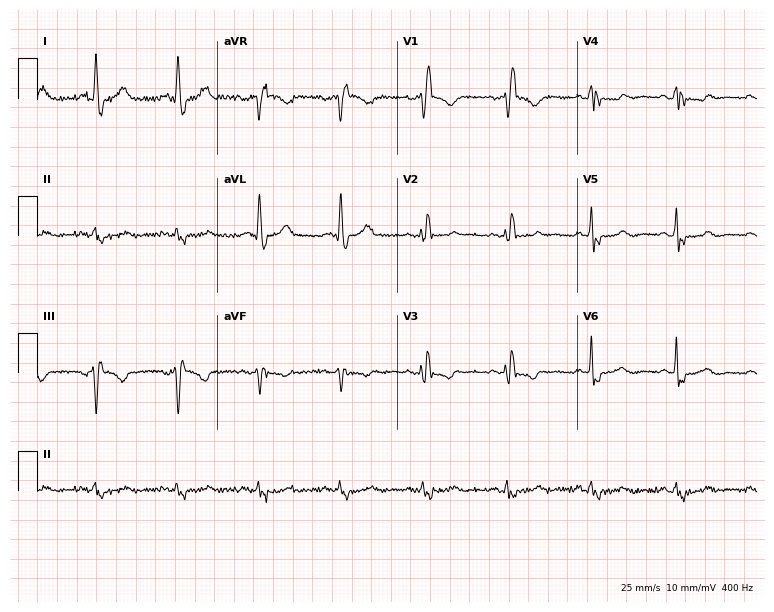
Standard 12-lead ECG recorded from a 68-year-old female patient. The tracing shows right bundle branch block (RBBB).